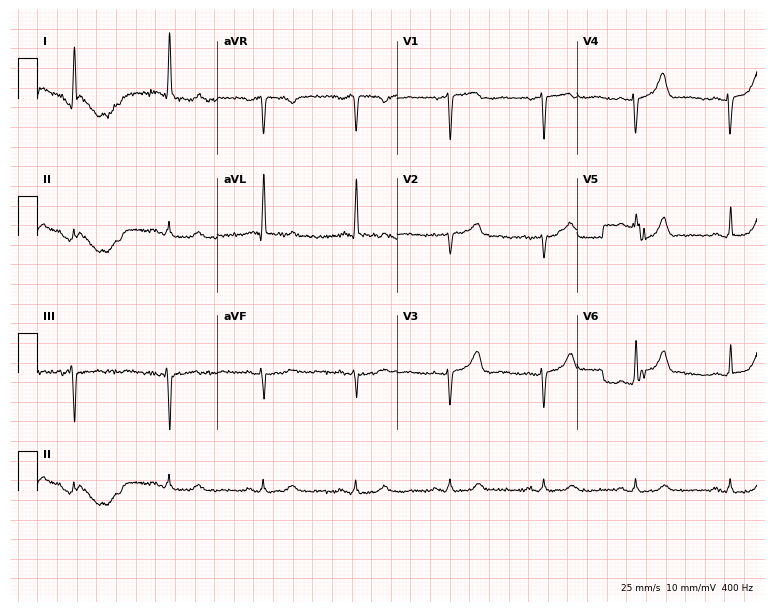
12-lead ECG from a woman, 84 years old. Screened for six findings — first-degree AV block, right bundle branch block, left bundle branch block, sinus bradycardia, atrial fibrillation, sinus tachycardia — none is recorded. Only these six findings were labelled.